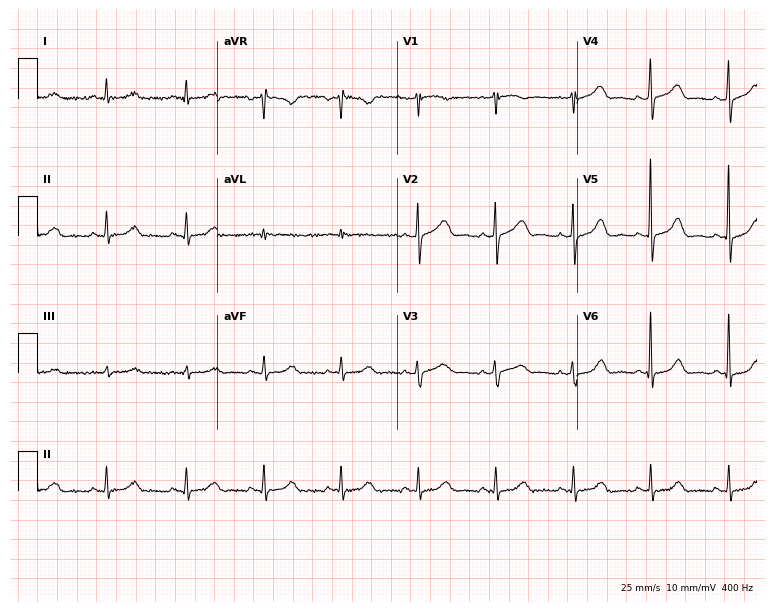
Electrocardiogram (7.3-second recording at 400 Hz), a female patient, 65 years old. Overall reading on record: normal ECG.